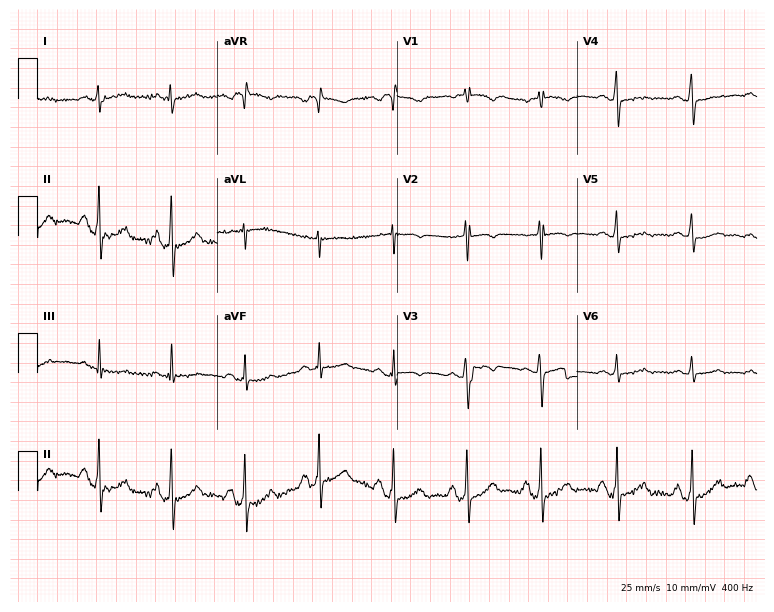
Standard 12-lead ECG recorded from a female patient, 70 years old. None of these six findings is recorded: first-degree AV block, right bundle branch block (RBBB), left bundle branch block (LBBB), sinus bradycardia, atrial fibrillation (AF), sinus tachycardia. Only these six findings were labelled.